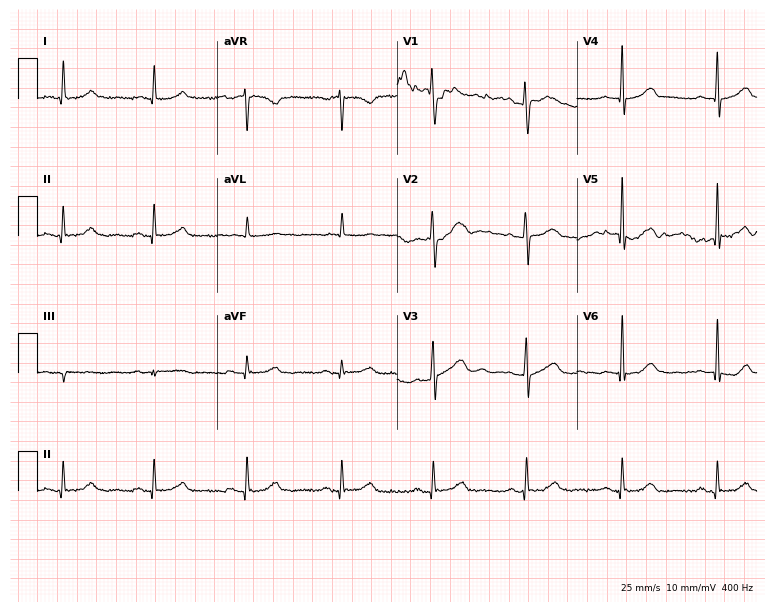
12-lead ECG (7.3-second recording at 400 Hz) from a female patient, 80 years old. Labelled as a normal ECG.